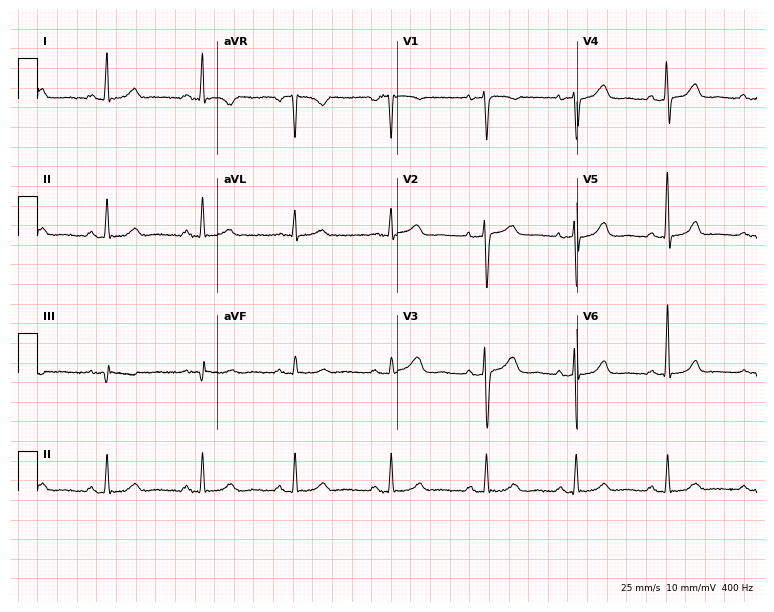
Resting 12-lead electrocardiogram. Patient: a female, 51 years old. None of these six findings is recorded: first-degree AV block, right bundle branch block, left bundle branch block, sinus bradycardia, atrial fibrillation, sinus tachycardia.